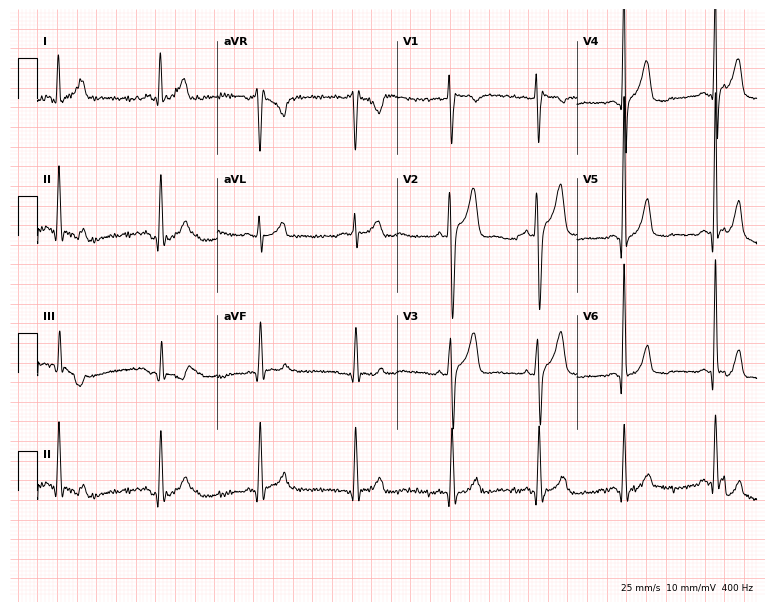
ECG — a 29-year-old male. Screened for six findings — first-degree AV block, right bundle branch block, left bundle branch block, sinus bradycardia, atrial fibrillation, sinus tachycardia — none is recorded.